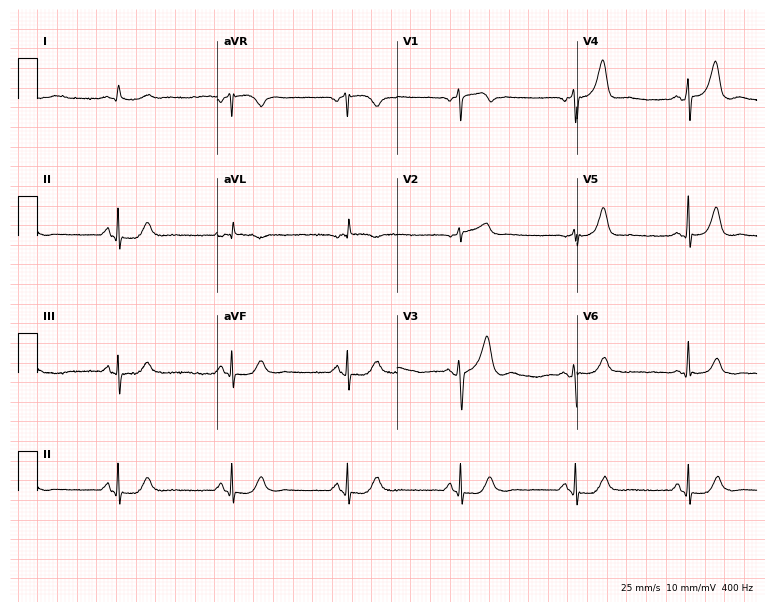
Electrocardiogram (7.3-second recording at 400 Hz), a male, 70 years old. Of the six screened findings (first-degree AV block, right bundle branch block, left bundle branch block, sinus bradycardia, atrial fibrillation, sinus tachycardia), none is recorded.